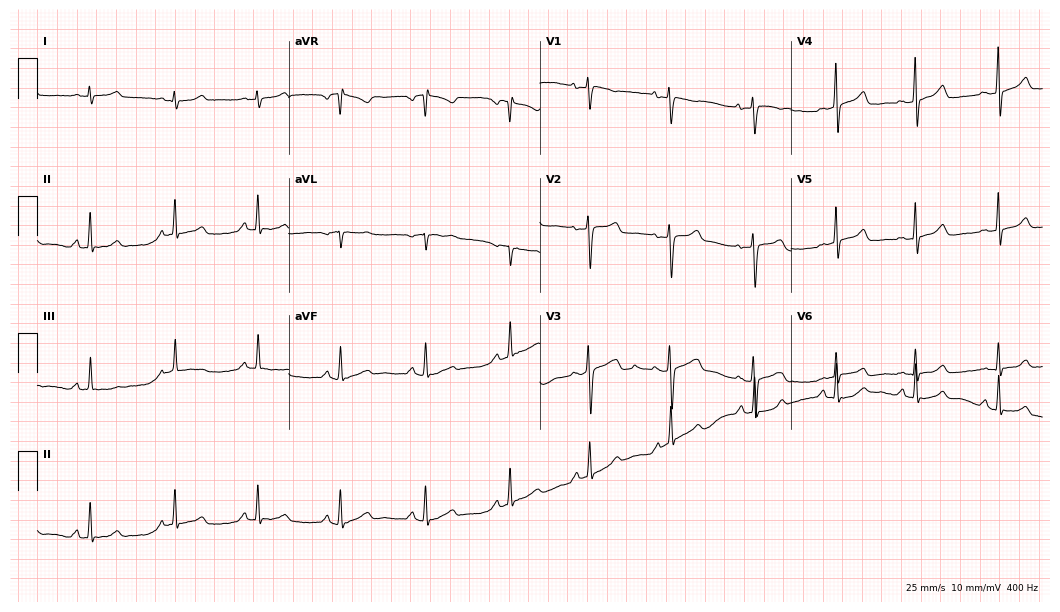
Standard 12-lead ECG recorded from a female patient, 45 years old (10.2-second recording at 400 Hz). Read as a normal ECG.